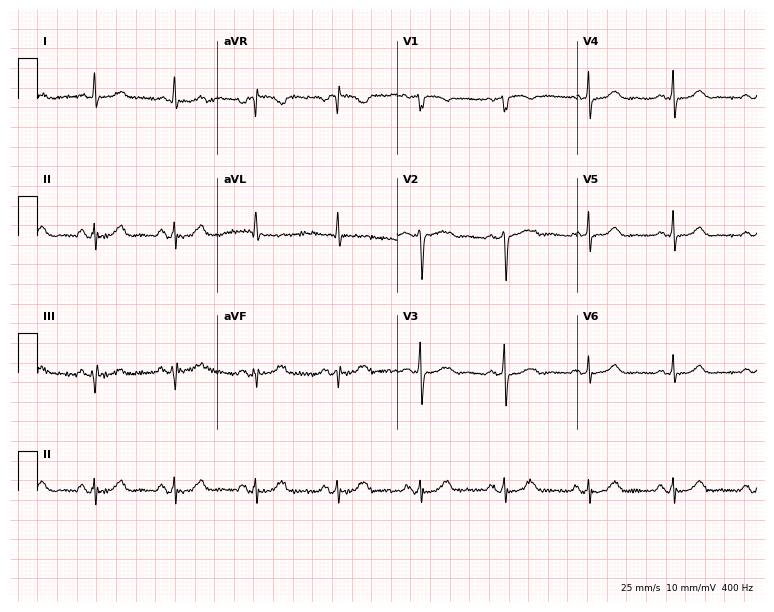
12-lead ECG (7.3-second recording at 400 Hz) from a woman, 63 years old. Screened for six findings — first-degree AV block, right bundle branch block, left bundle branch block, sinus bradycardia, atrial fibrillation, sinus tachycardia — none is recorded. Findings outside these six are not listed.